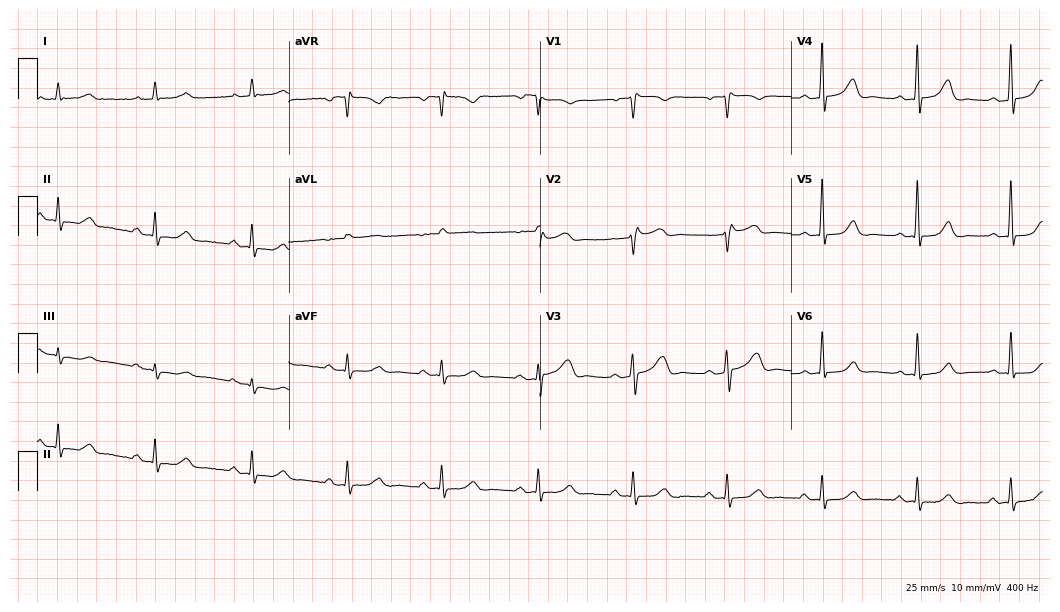
Standard 12-lead ECG recorded from a female, 77 years old. None of these six findings is recorded: first-degree AV block, right bundle branch block (RBBB), left bundle branch block (LBBB), sinus bradycardia, atrial fibrillation (AF), sinus tachycardia. Findings outside these six are not listed.